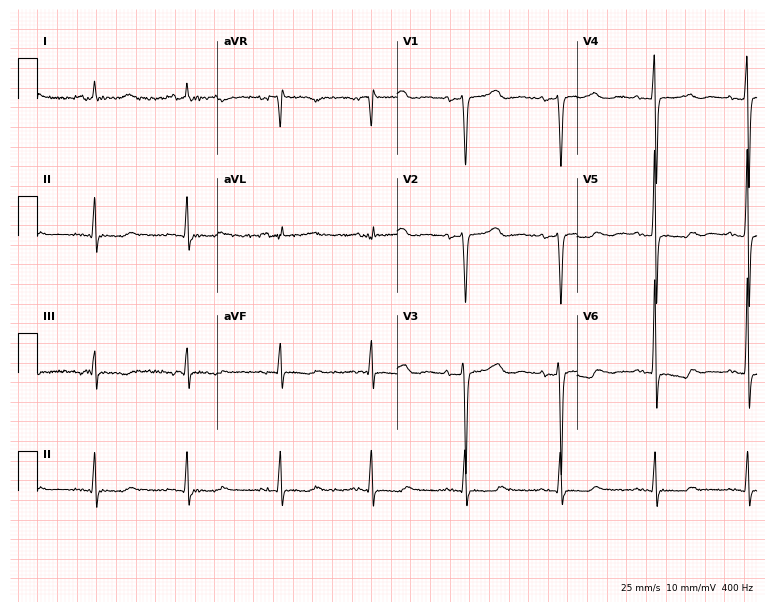
12-lead ECG (7.3-second recording at 400 Hz) from a female patient, 63 years old. Screened for six findings — first-degree AV block, right bundle branch block, left bundle branch block, sinus bradycardia, atrial fibrillation, sinus tachycardia — none is recorded.